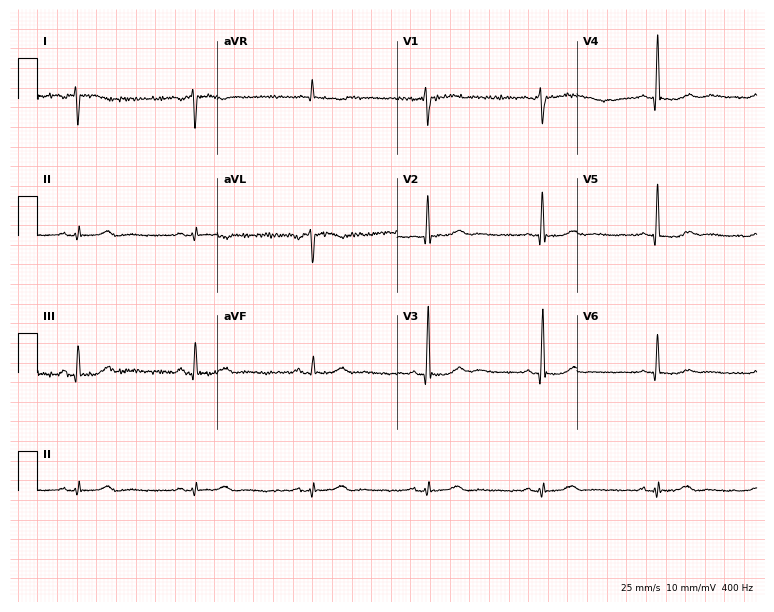
Electrocardiogram (7.3-second recording at 400 Hz), a female, 76 years old. Of the six screened findings (first-degree AV block, right bundle branch block, left bundle branch block, sinus bradycardia, atrial fibrillation, sinus tachycardia), none is recorded. Only these six findings were labelled.